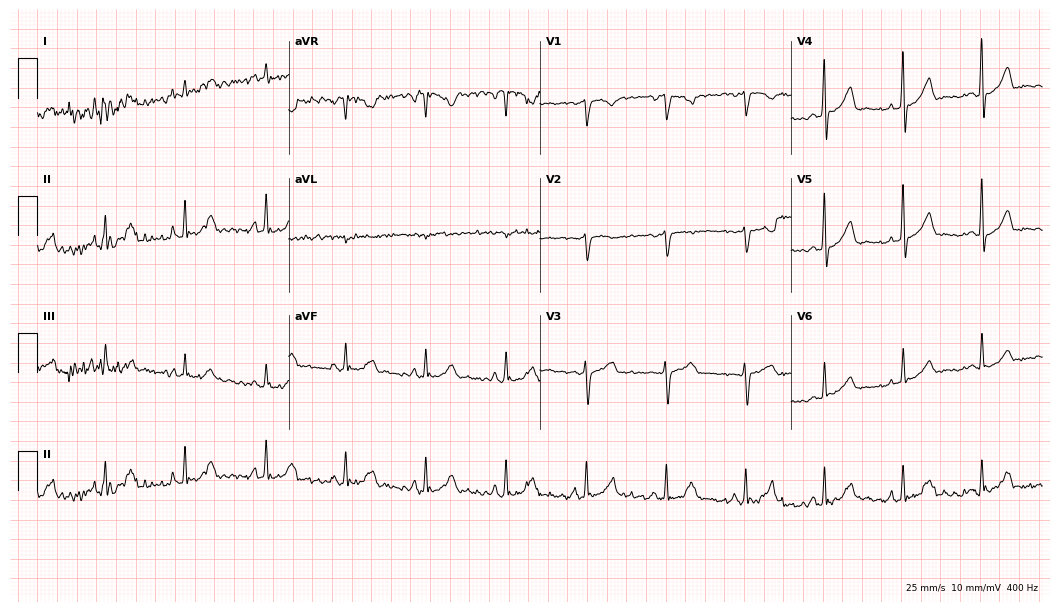
Electrocardiogram, a 44-year-old man. Of the six screened findings (first-degree AV block, right bundle branch block, left bundle branch block, sinus bradycardia, atrial fibrillation, sinus tachycardia), none is recorded.